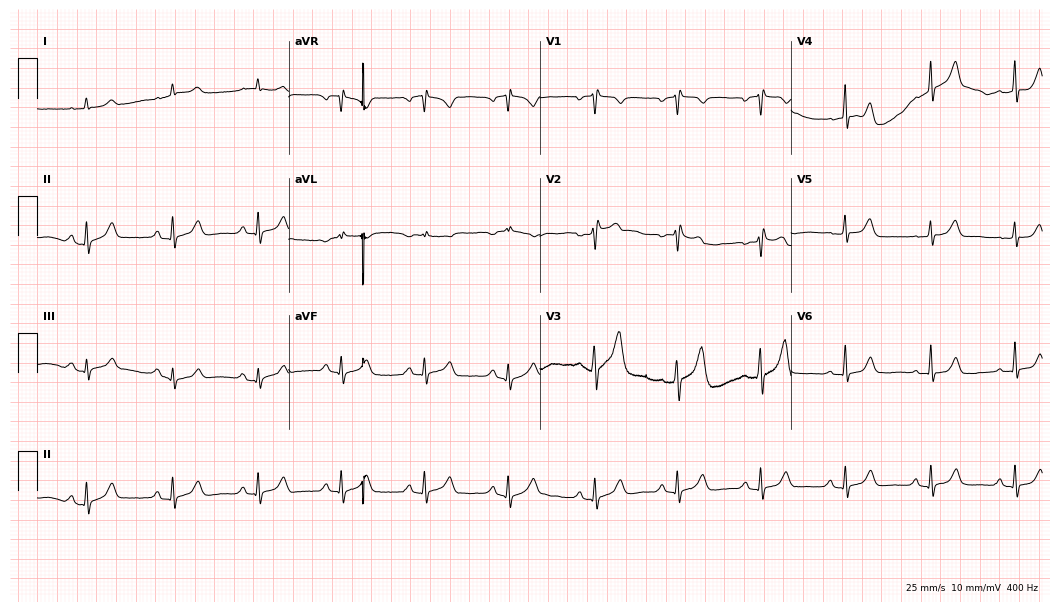
12-lead ECG from a 47-year-old male patient. No first-degree AV block, right bundle branch block (RBBB), left bundle branch block (LBBB), sinus bradycardia, atrial fibrillation (AF) or sinus tachycardia recorded for this tracing. Other findings, if any, are not listed.